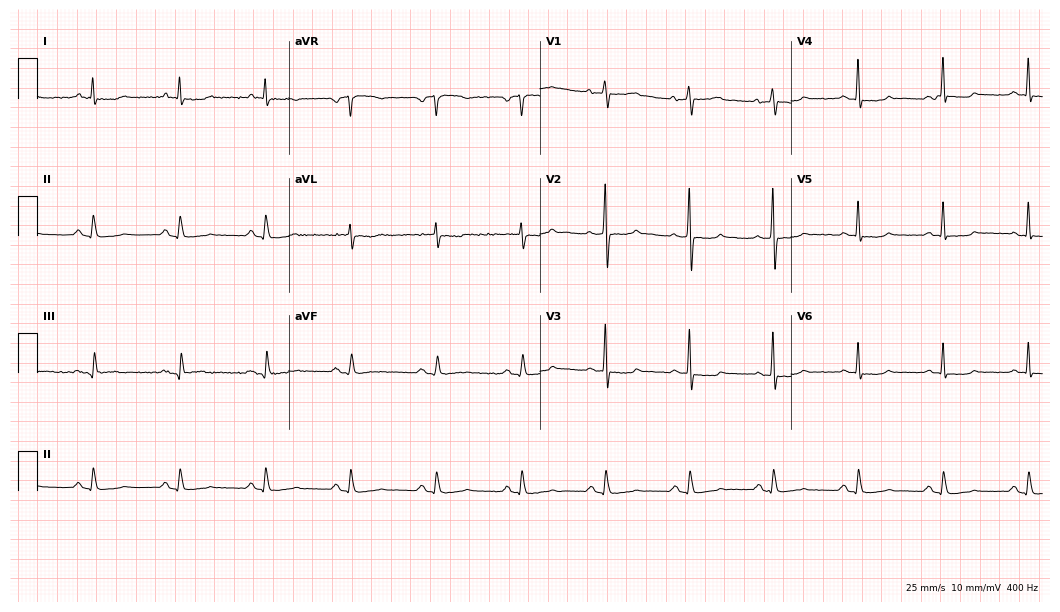
Resting 12-lead electrocardiogram (10.2-second recording at 400 Hz). Patient: a man, 64 years old. None of these six findings is recorded: first-degree AV block, right bundle branch block, left bundle branch block, sinus bradycardia, atrial fibrillation, sinus tachycardia. Findings outside these six are not listed.